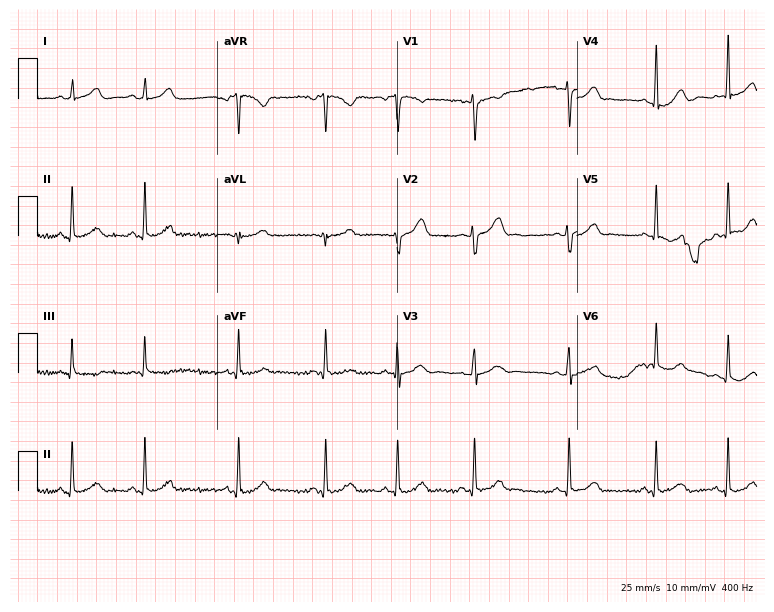
Standard 12-lead ECG recorded from a 17-year-old female patient (7.3-second recording at 400 Hz). Read as a normal ECG.